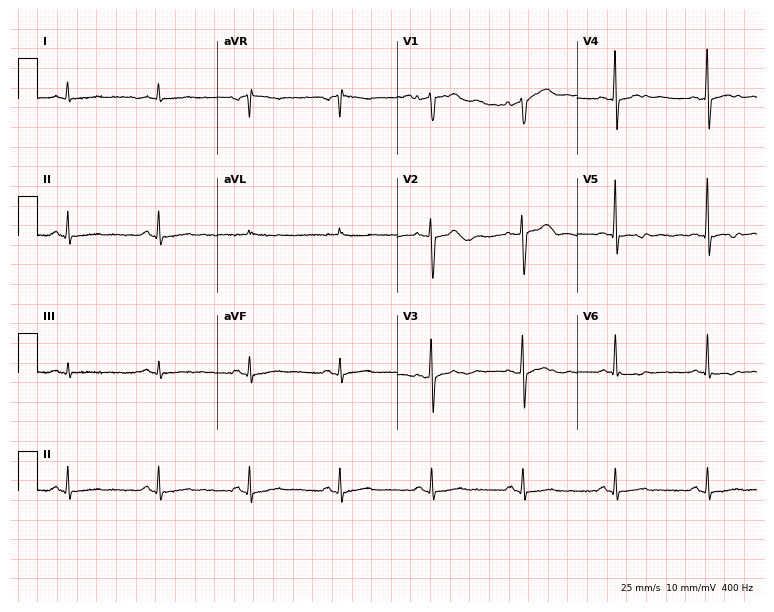
Electrocardiogram, a 61-year-old male. Of the six screened findings (first-degree AV block, right bundle branch block, left bundle branch block, sinus bradycardia, atrial fibrillation, sinus tachycardia), none is recorded. Only these six findings were labelled.